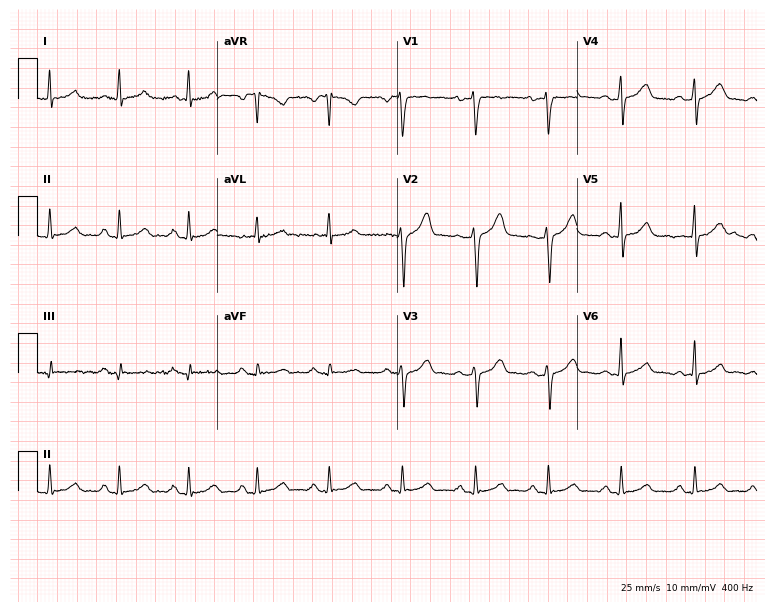
12-lead ECG (7.3-second recording at 400 Hz) from a 45-year-old man. Screened for six findings — first-degree AV block, right bundle branch block, left bundle branch block, sinus bradycardia, atrial fibrillation, sinus tachycardia — none is recorded. Other findings, if any, are not listed.